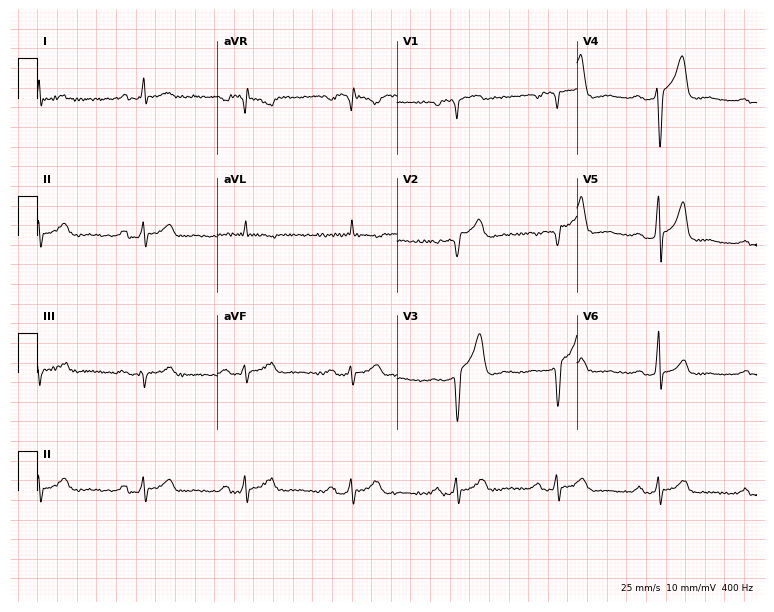
12-lead ECG from a man, 54 years old (7.3-second recording at 400 Hz). Shows first-degree AV block.